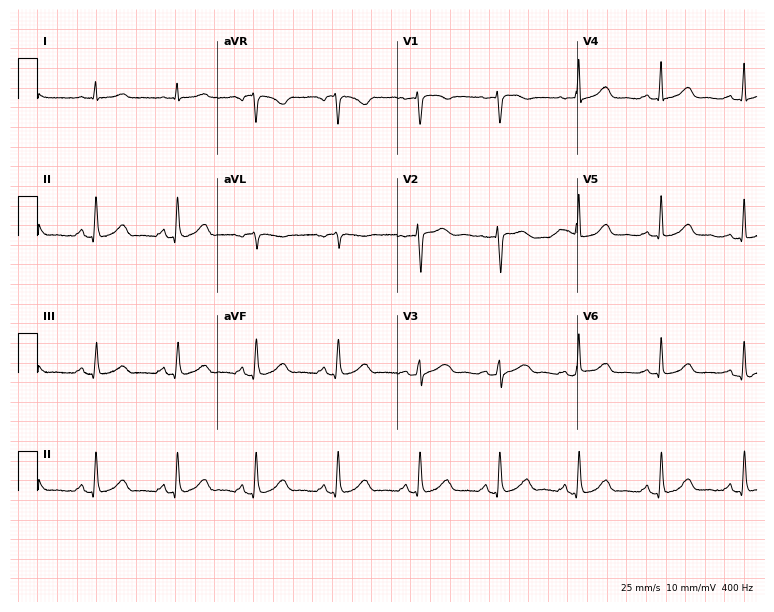
ECG — a female patient, 53 years old. Labelled as a normal ECG.